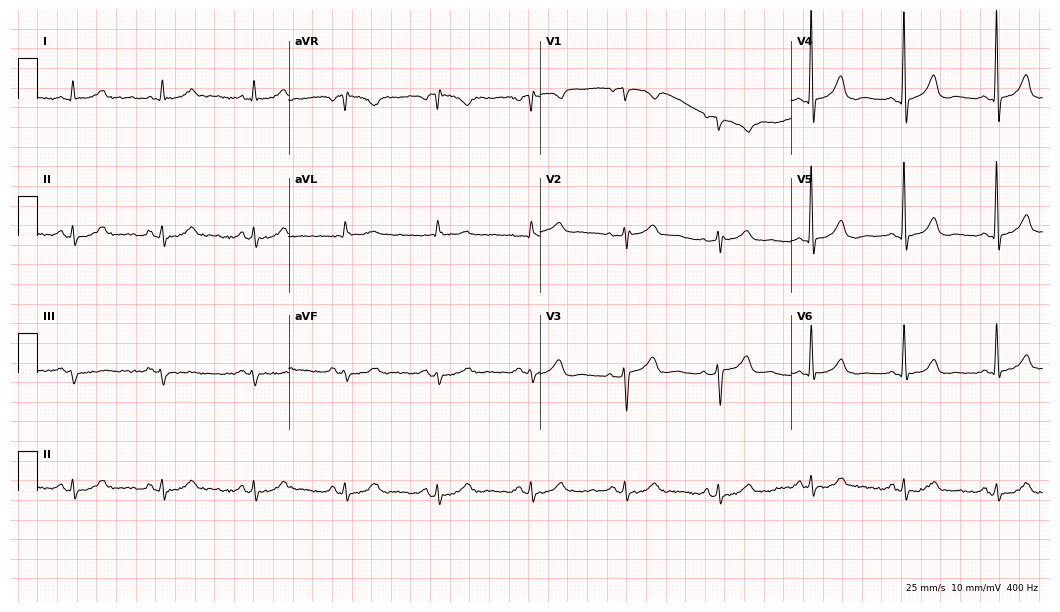
Electrocardiogram, an 85-year-old man. Overall reading on record: normal ECG.